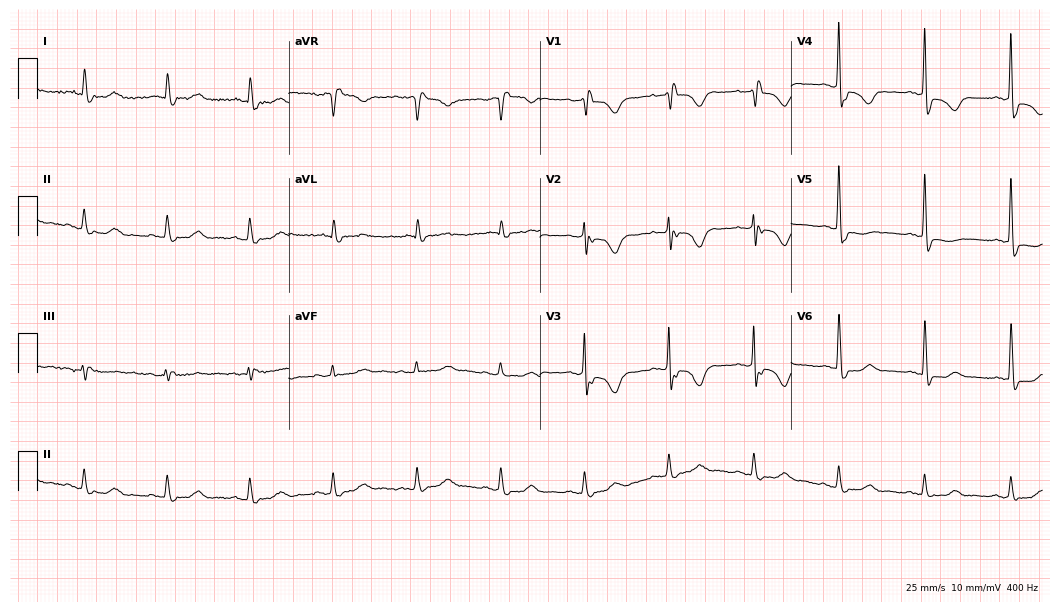
Electrocardiogram, a female patient, 85 years old. Interpretation includes right bundle branch block (RBBB).